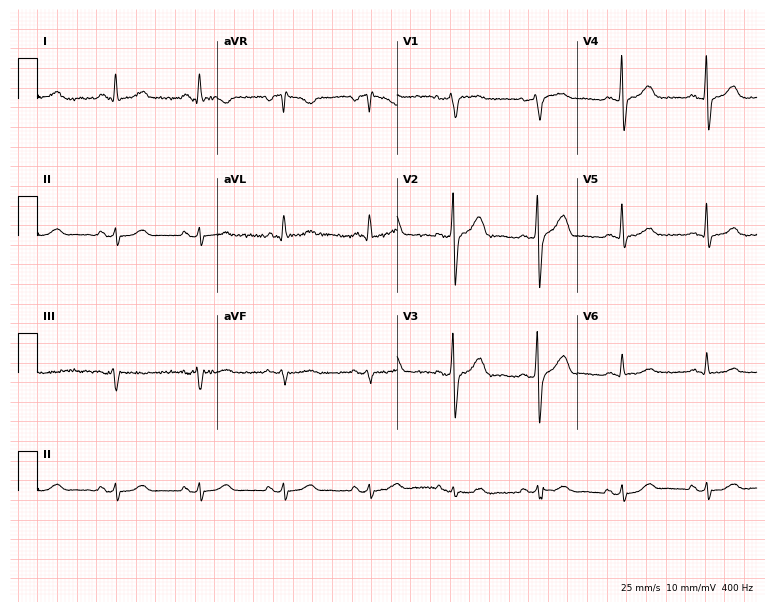
ECG — a 56-year-old male patient. Screened for six findings — first-degree AV block, right bundle branch block, left bundle branch block, sinus bradycardia, atrial fibrillation, sinus tachycardia — none is recorded.